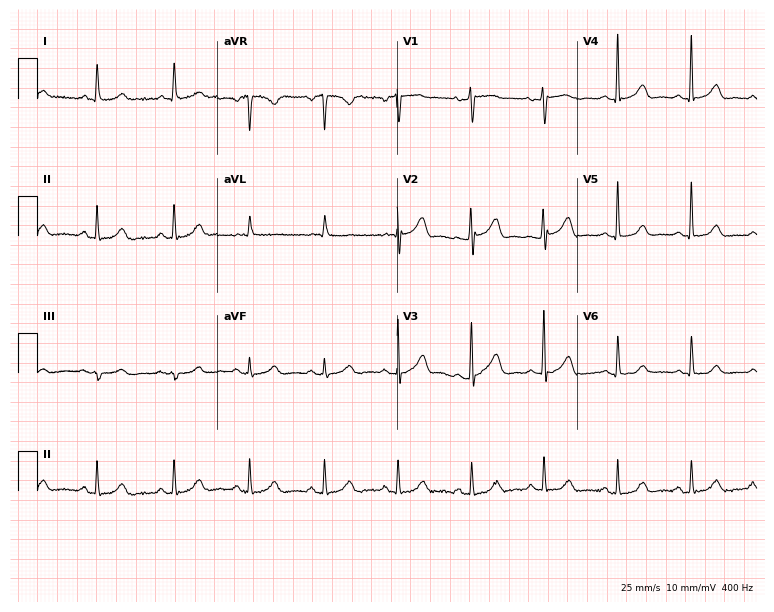
Standard 12-lead ECG recorded from a woman, 53 years old (7.3-second recording at 400 Hz). Read as a normal ECG.